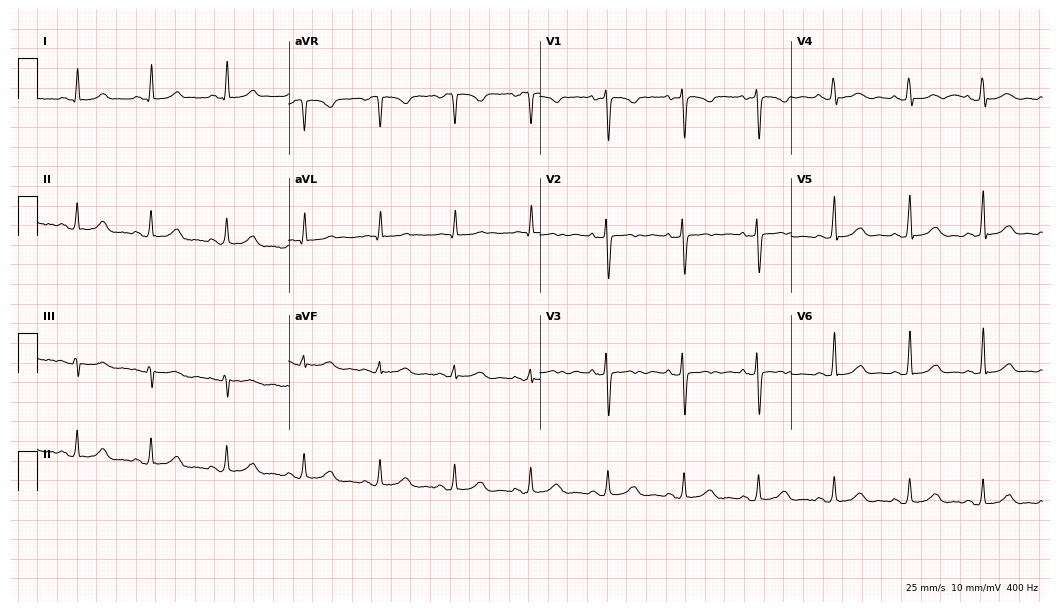
Resting 12-lead electrocardiogram (10.2-second recording at 400 Hz). Patient: a 42-year-old female. Read as a normal ECG.